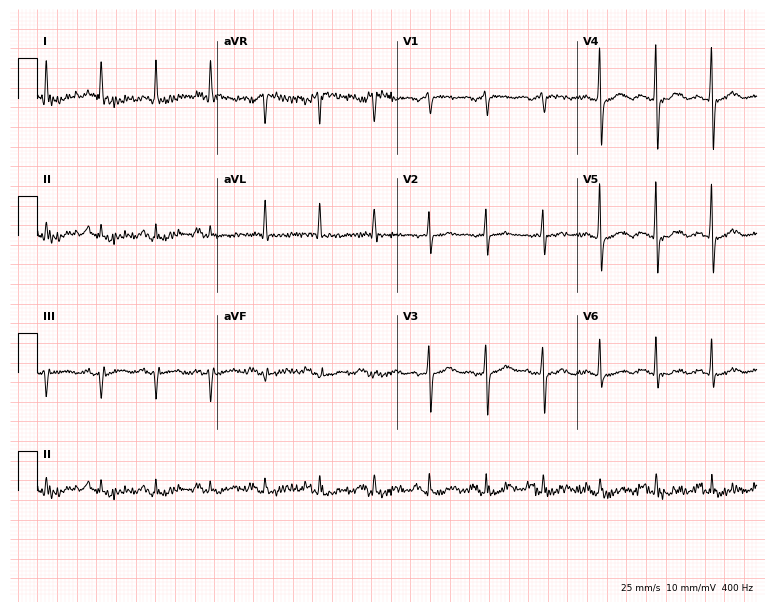
Resting 12-lead electrocardiogram (7.3-second recording at 400 Hz). Patient: a female, 51 years old. None of these six findings is recorded: first-degree AV block, right bundle branch block, left bundle branch block, sinus bradycardia, atrial fibrillation, sinus tachycardia. Only these six findings were labelled.